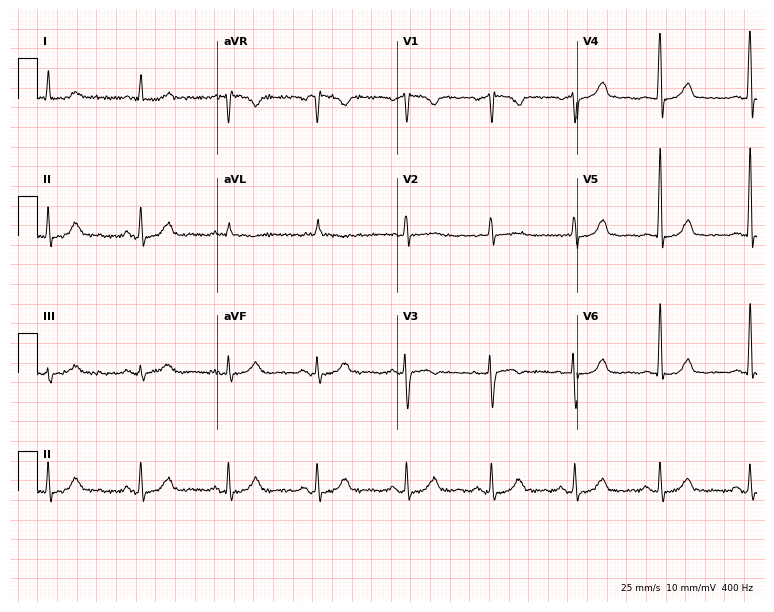
Standard 12-lead ECG recorded from a female patient, 57 years old (7.3-second recording at 400 Hz). None of these six findings is recorded: first-degree AV block, right bundle branch block (RBBB), left bundle branch block (LBBB), sinus bradycardia, atrial fibrillation (AF), sinus tachycardia. Only these six findings were labelled.